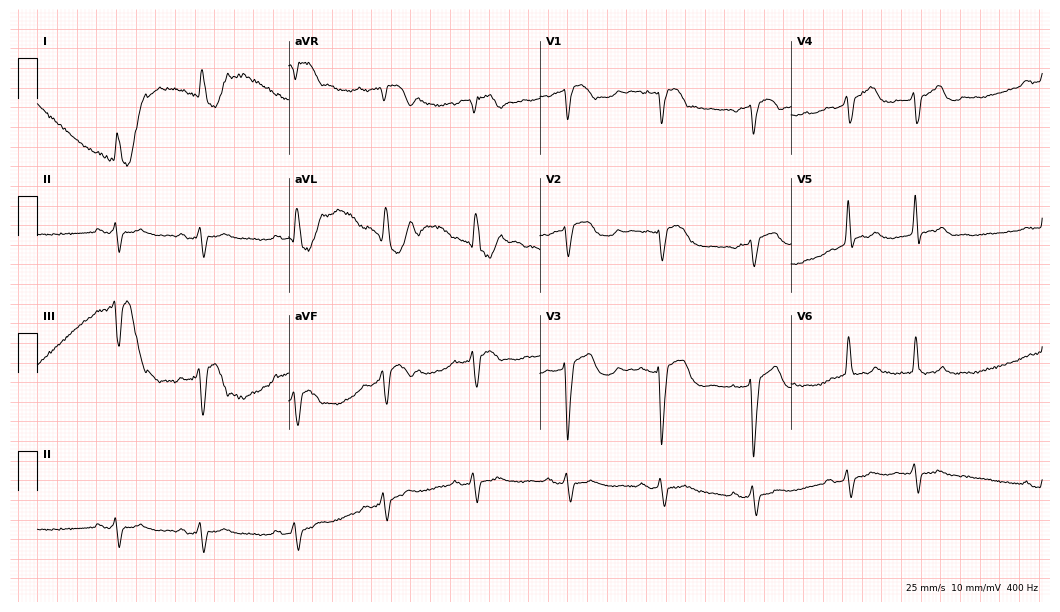
12-lead ECG from an 81-year-old female patient. Shows atrial fibrillation.